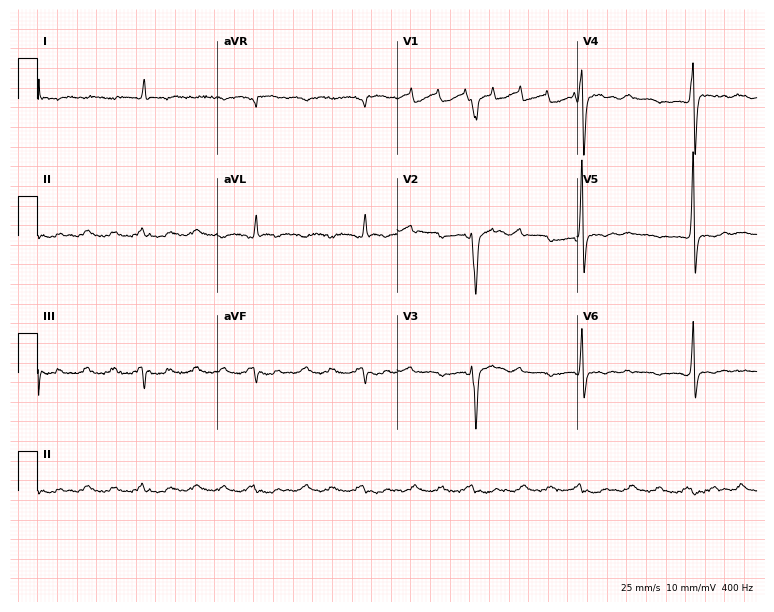
12-lead ECG (7.3-second recording at 400 Hz) from an 85-year-old male. Screened for six findings — first-degree AV block, right bundle branch block, left bundle branch block, sinus bradycardia, atrial fibrillation, sinus tachycardia — none is recorded. Findings outside these six are not listed.